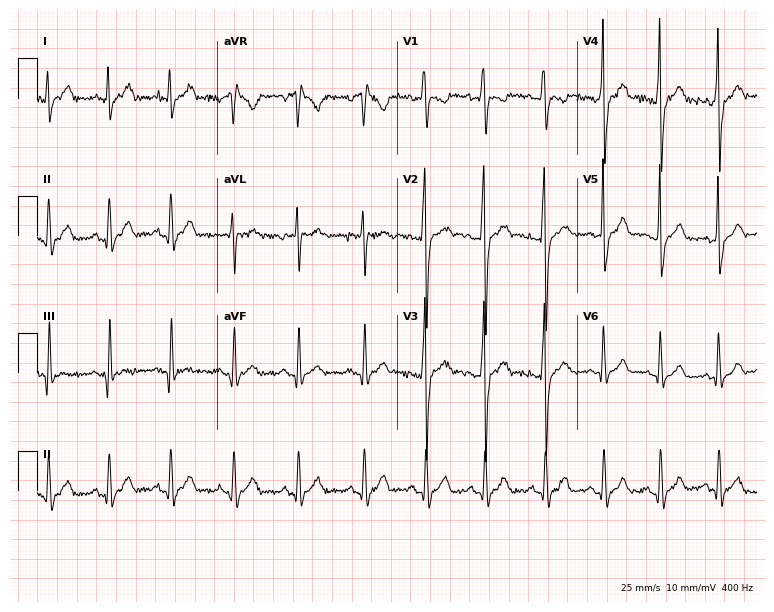
Electrocardiogram (7.3-second recording at 400 Hz), a man, 25 years old. Of the six screened findings (first-degree AV block, right bundle branch block, left bundle branch block, sinus bradycardia, atrial fibrillation, sinus tachycardia), none is recorded.